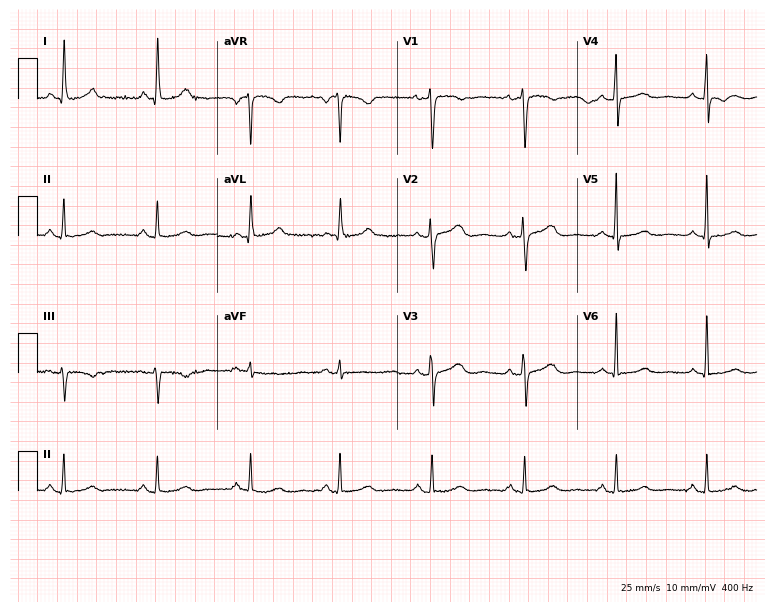
ECG — a woman, 47 years old. Screened for six findings — first-degree AV block, right bundle branch block (RBBB), left bundle branch block (LBBB), sinus bradycardia, atrial fibrillation (AF), sinus tachycardia — none is recorded.